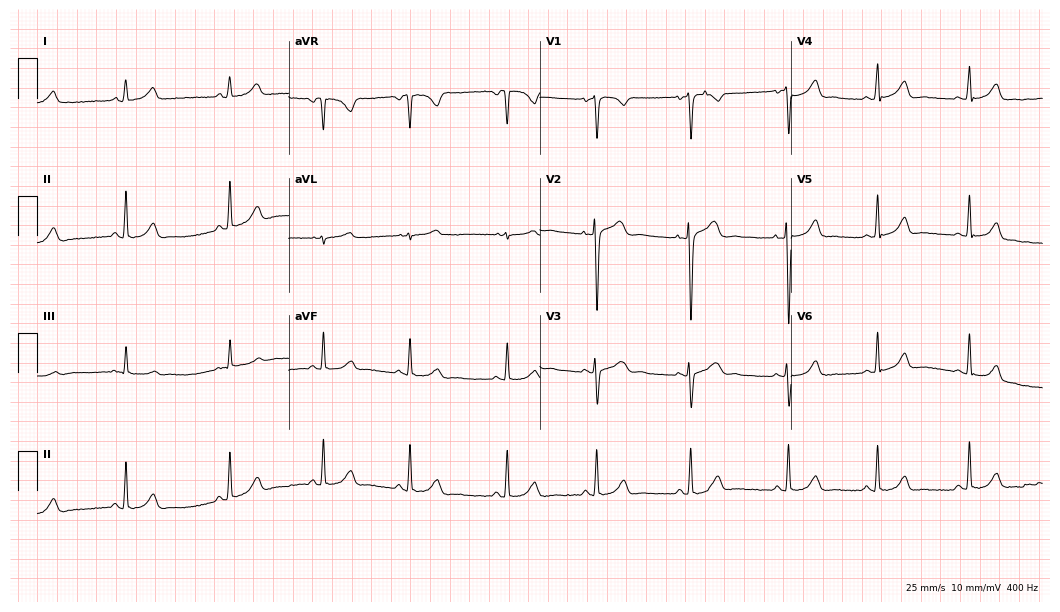
ECG (10.2-second recording at 400 Hz) — a 28-year-old woman. Labelled as a normal ECG.